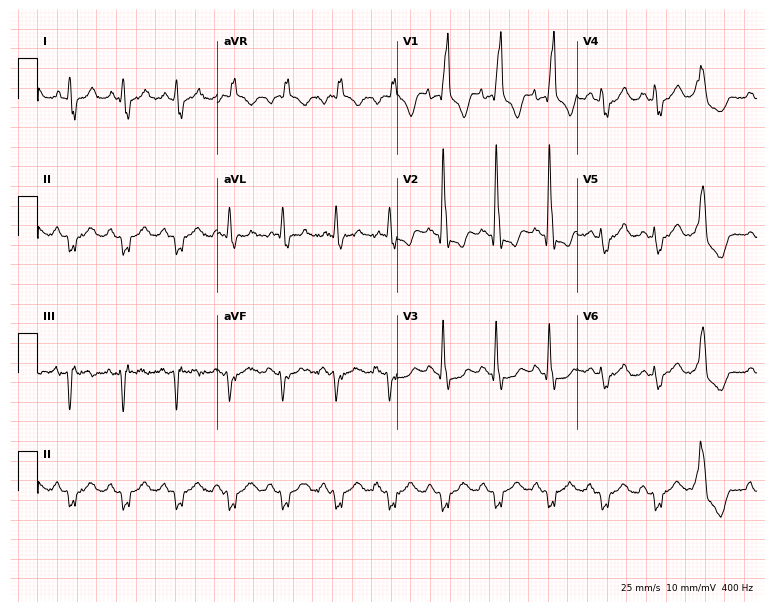
ECG — an 81-year-old male patient. Findings include right bundle branch block, sinus tachycardia (a sinus rate of 100 beats per minute or more).